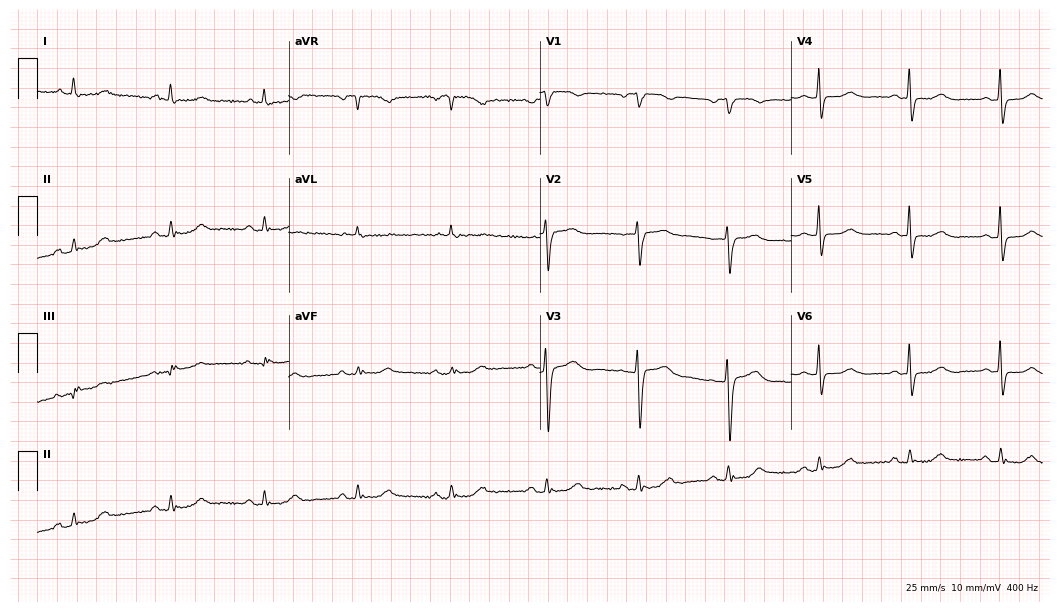
Electrocardiogram, a female patient, 65 years old. Overall reading on record: normal ECG.